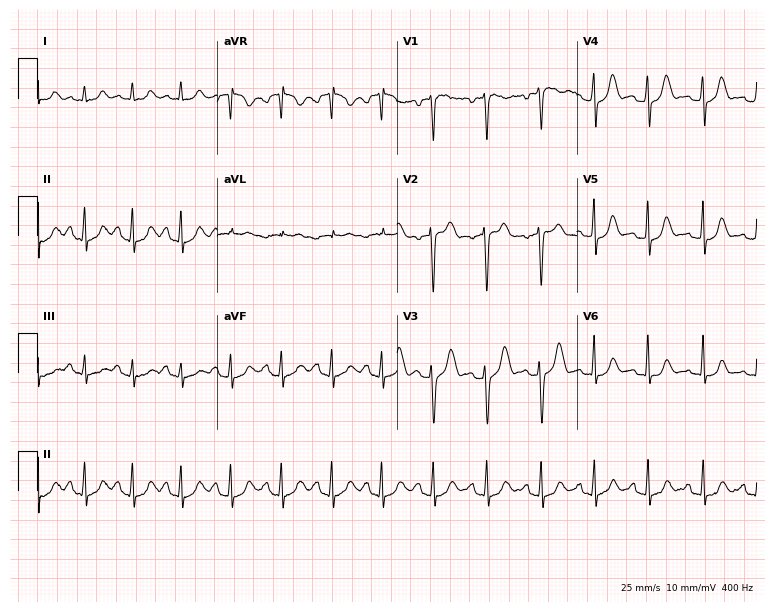
ECG (7.3-second recording at 400 Hz) — a female patient, 38 years old. Findings include sinus tachycardia (a sinus rate of 100 beats per minute or more).